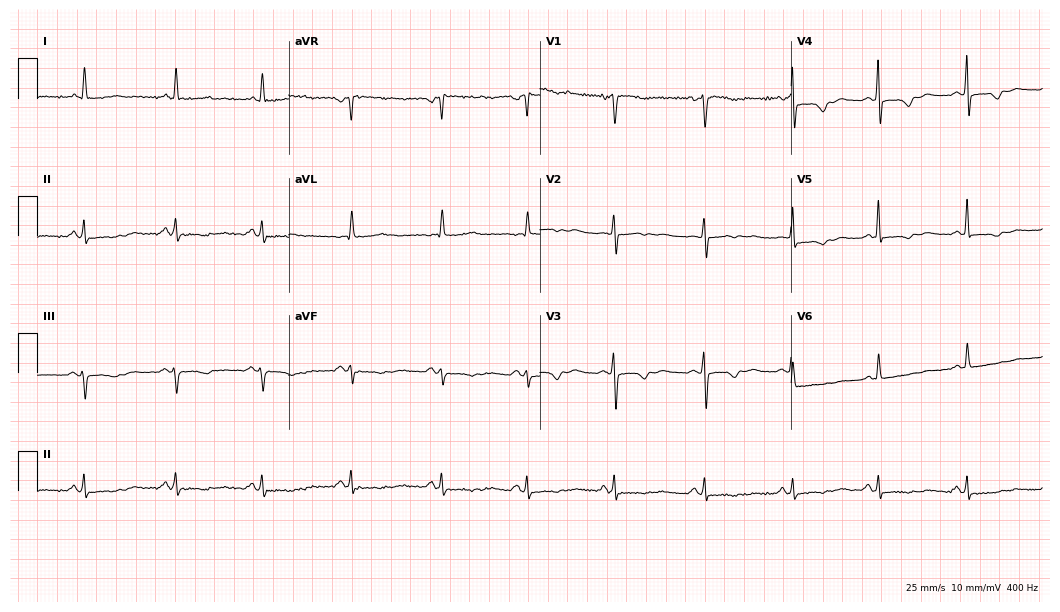
Electrocardiogram, a 54-year-old woman. Of the six screened findings (first-degree AV block, right bundle branch block, left bundle branch block, sinus bradycardia, atrial fibrillation, sinus tachycardia), none is recorded. Other findings, if any, are not listed.